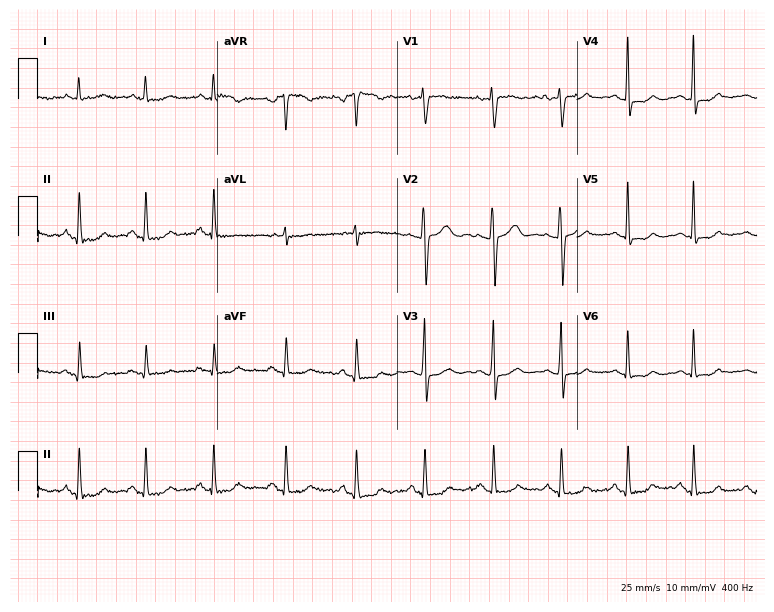
Electrocardiogram (7.3-second recording at 400 Hz), a female, 54 years old. Of the six screened findings (first-degree AV block, right bundle branch block, left bundle branch block, sinus bradycardia, atrial fibrillation, sinus tachycardia), none is recorded.